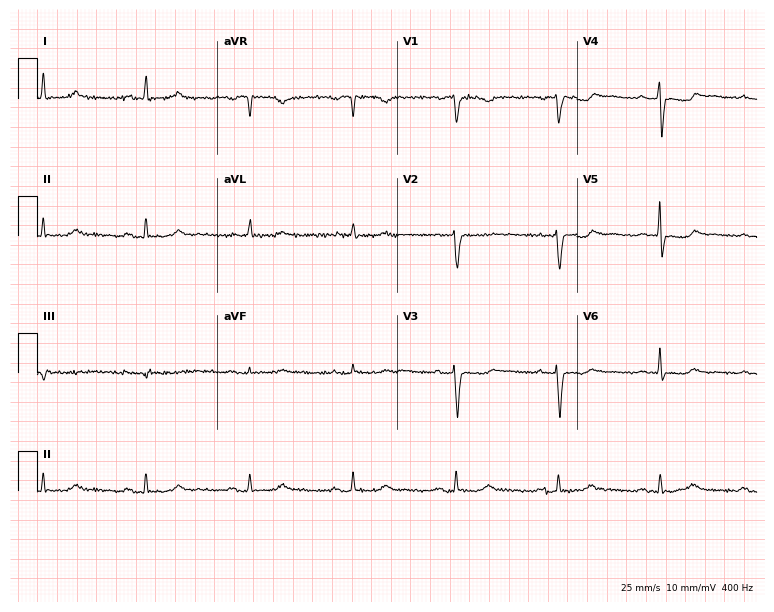
Standard 12-lead ECG recorded from a 64-year-old female patient. None of these six findings is recorded: first-degree AV block, right bundle branch block (RBBB), left bundle branch block (LBBB), sinus bradycardia, atrial fibrillation (AF), sinus tachycardia. Findings outside these six are not listed.